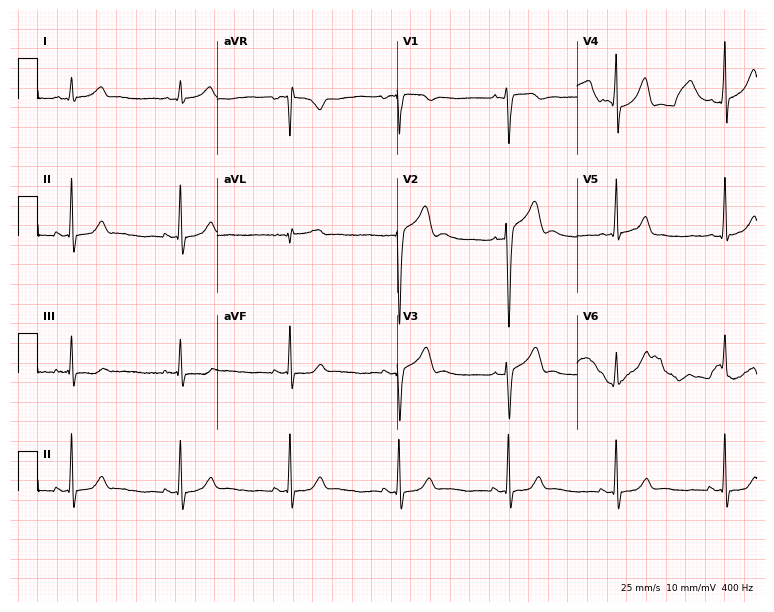
12-lead ECG from a 20-year-old male. Recorded interpretation: within normal limits.